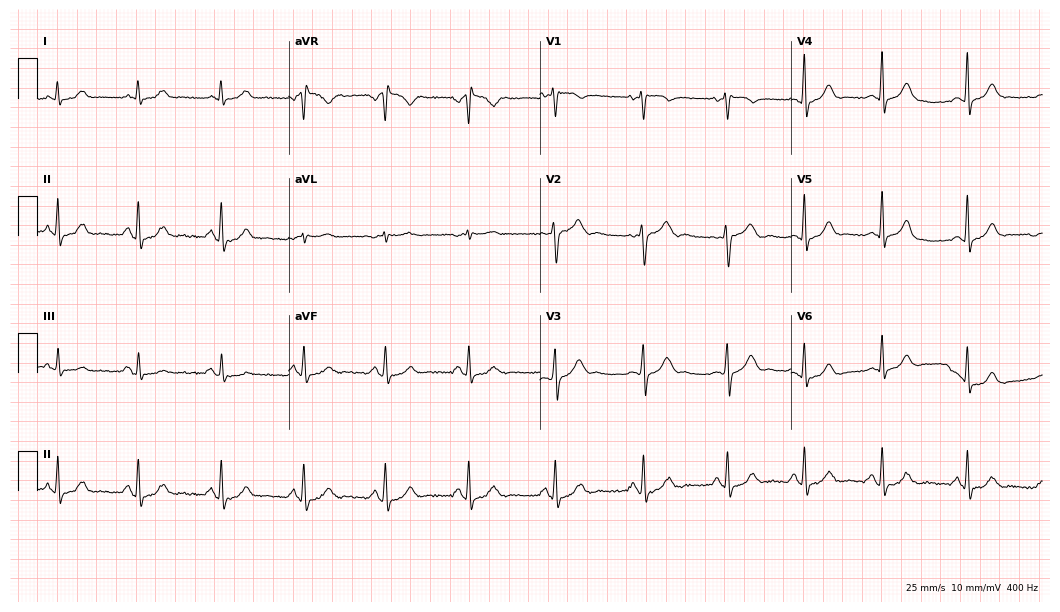
12-lead ECG from a 29-year-old woman. No first-degree AV block, right bundle branch block (RBBB), left bundle branch block (LBBB), sinus bradycardia, atrial fibrillation (AF) or sinus tachycardia recorded for this tracing. Only these six findings were labelled.